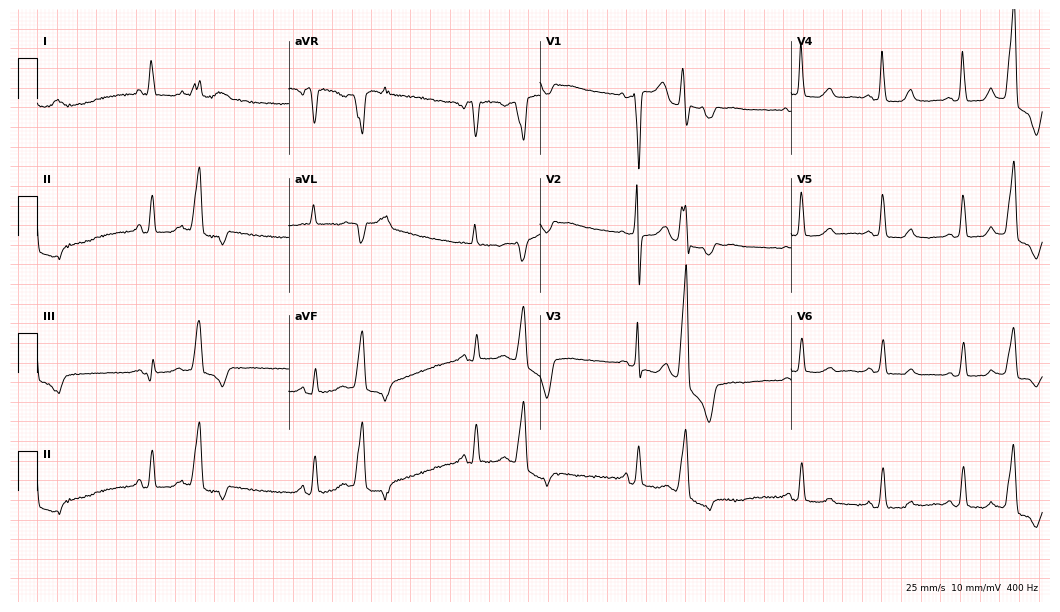
Standard 12-lead ECG recorded from a woman, 79 years old. None of these six findings is recorded: first-degree AV block, right bundle branch block, left bundle branch block, sinus bradycardia, atrial fibrillation, sinus tachycardia.